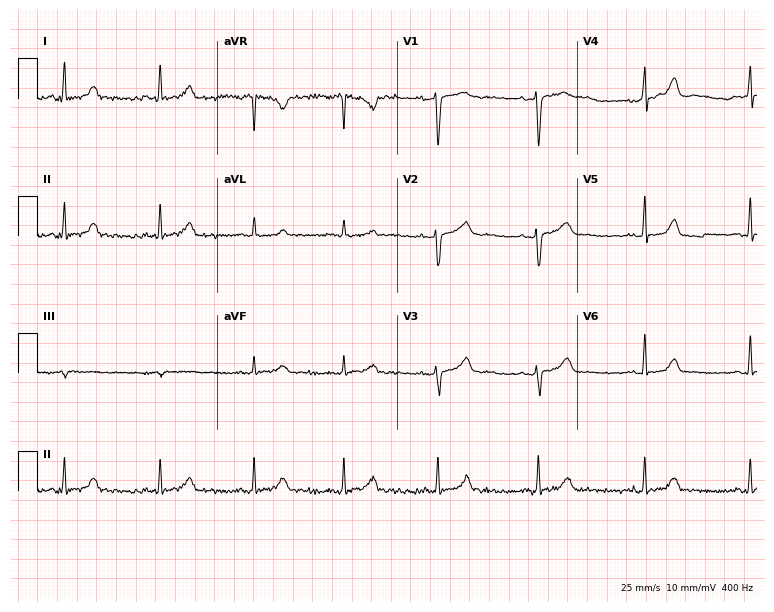
12-lead ECG from a female patient, 38 years old (7.3-second recording at 400 Hz). Recorded interpretation: within normal limits.